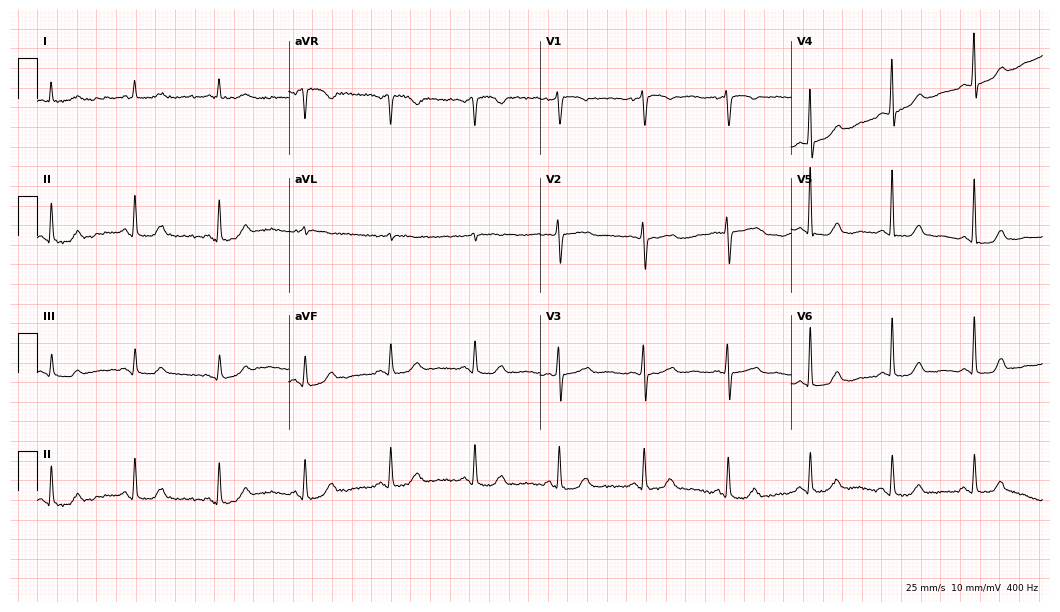
12-lead ECG from a 63-year-old woman (10.2-second recording at 400 Hz). Recorded interpretation: within normal limits.